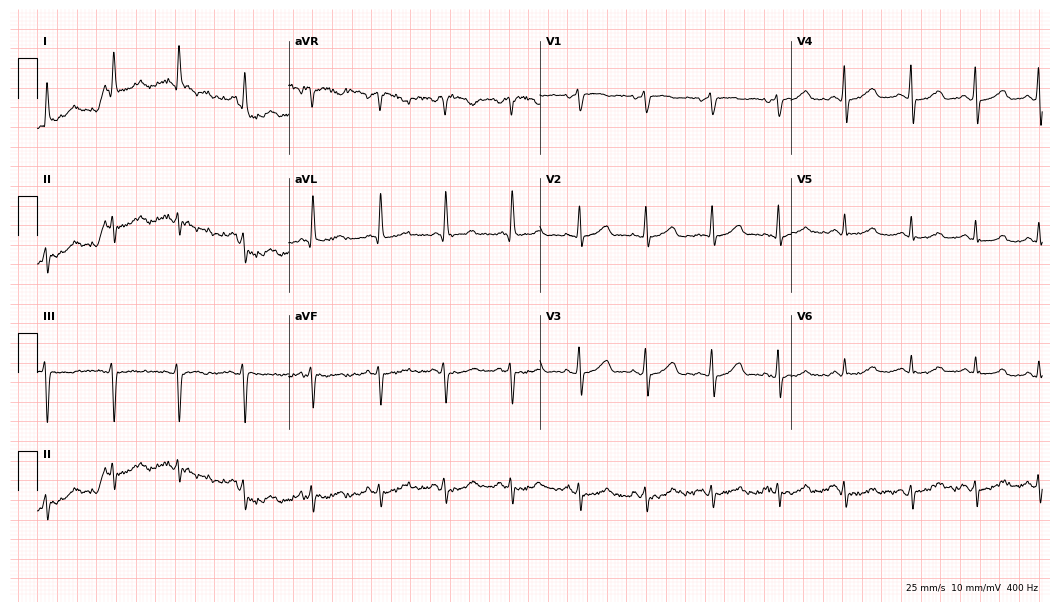
ECG (10.2-second recording at 400 Hz) — a female patient, 73 years old. Screened for six findings — first-degree AV block, right bundle branch block (RBBB), left bundle branch block (LBBB), sinus bradycardia, atrial fibrillation (AF), sinus tachycardia — none is recorded. Findings outside these six are not listed.